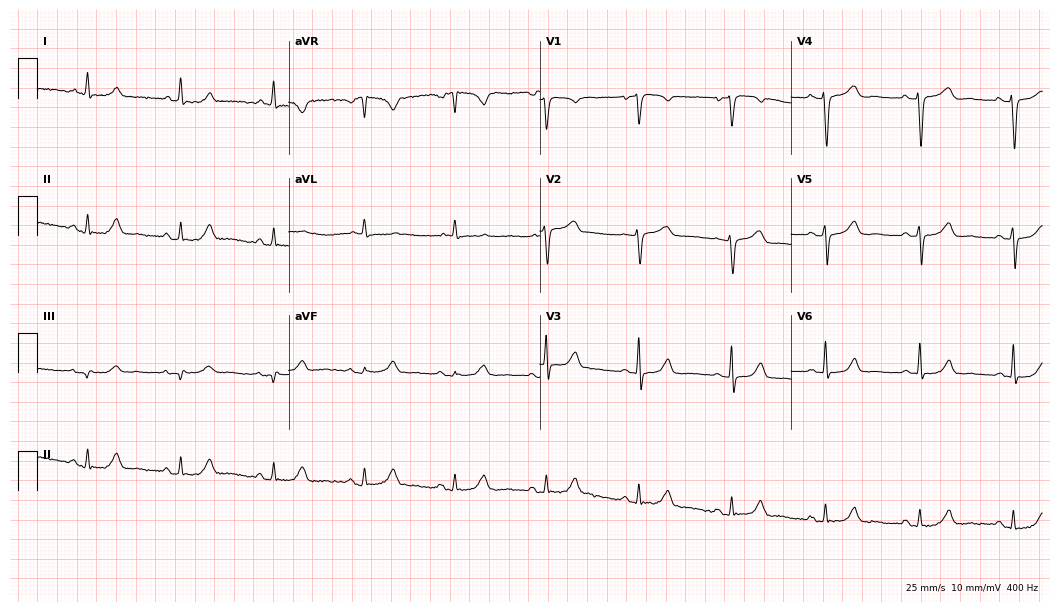
Electrocardiogram (10.2-second recording at 400 Hz), a 62-year-old female. Of the six screened findings (first-degree AV block, right bundle branch block (RBBB), left bundle branch block (LBBB), sinus bradycardia, atrial fibrillation (AF), sinus tachycardia), none is recorded.